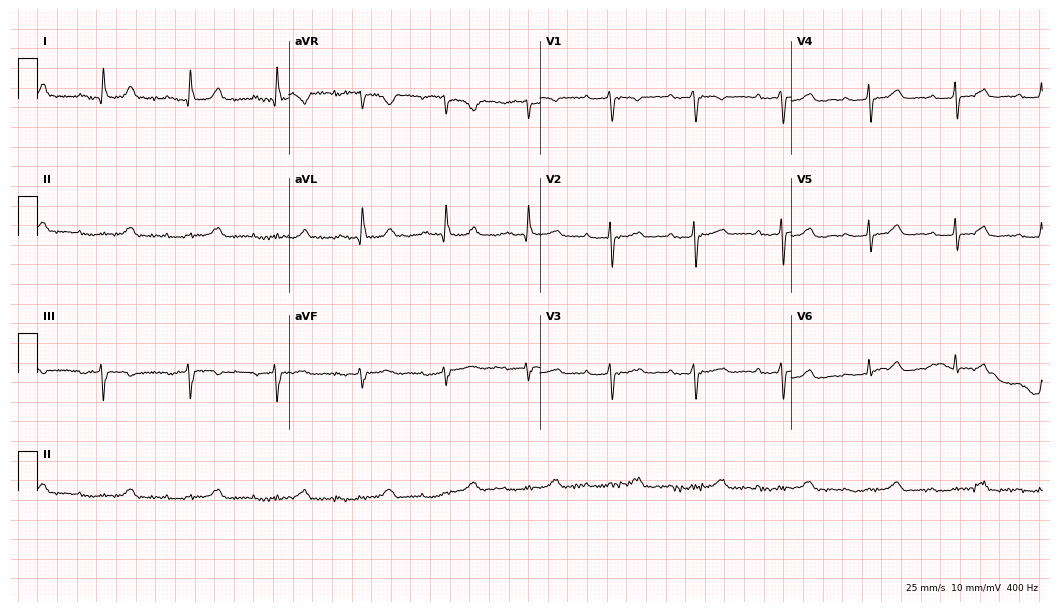
ECG — a female, 81 years old. Screened for six findings — first-degree AV block, right bundle branch block (RBBB), left bundle branch block (LBBB), sinus bradycardia, atrial fibrillation (AF), sinus tachycardia — none is recorded. Only these six findings were labelled.